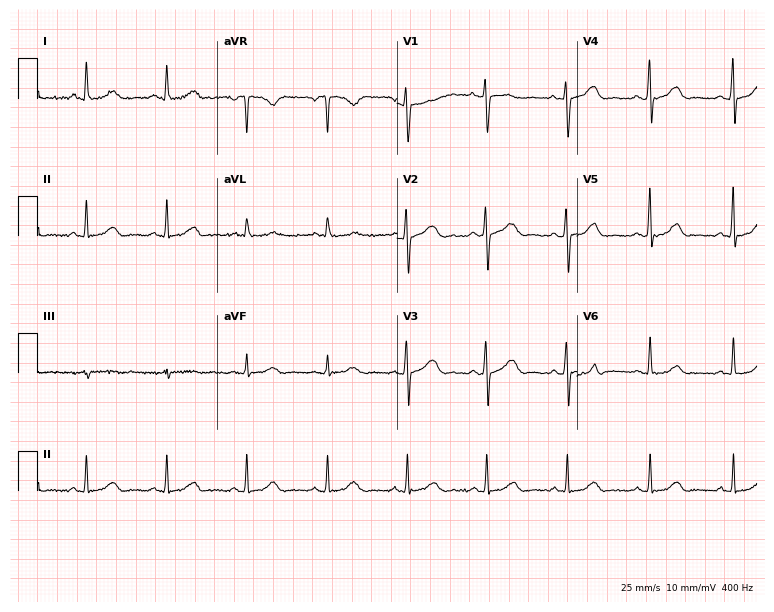
12-lead ECG from a 30-year-old female. No first-degree AV block, right bundle branch block, left bundle branch block, sinus bradycardia, atrial fibrillation or sinus tachycardia recorded for this tracing. Only these six findings were labelled.